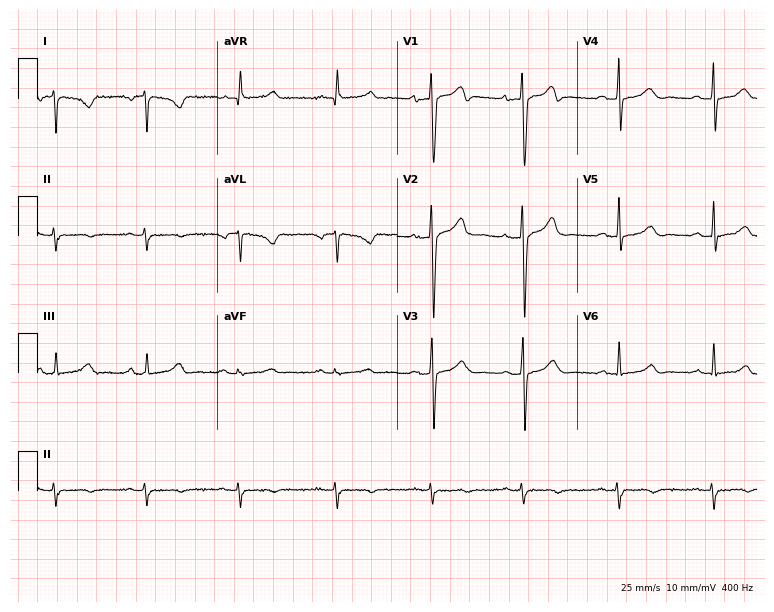
Electrocardiogram (7.3-second recording at 400 Hz), a 54-year-old man. Of the six screened findings (first-degree AV block, right bundle branch block, left bundle branch block, sinus bradycardia, atrial fibrillation, sinus tachycardia), none is recorded. Other findings, if any, are not listed.